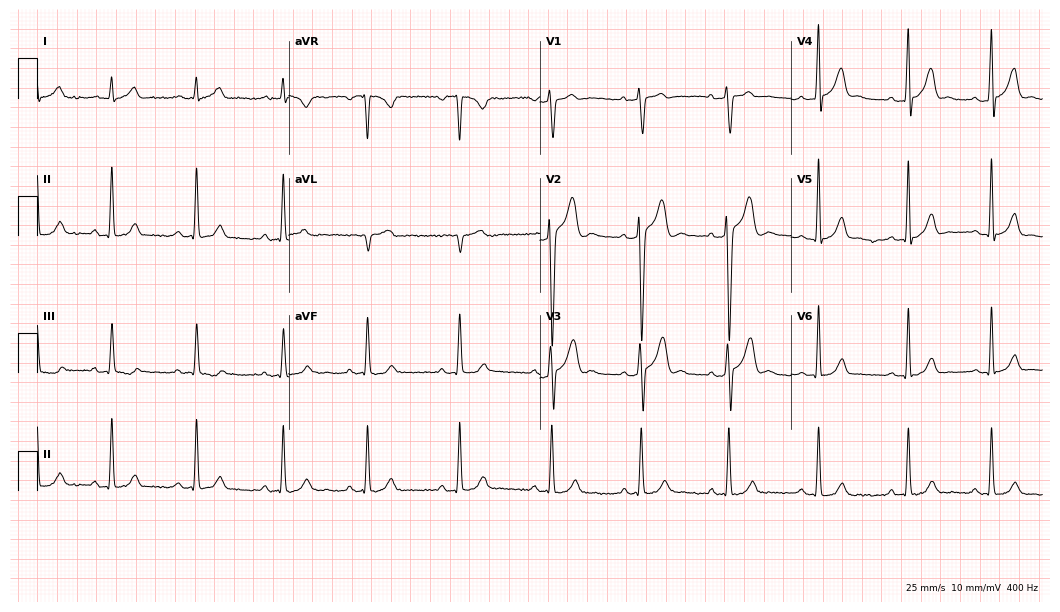
Electrocardiogram (10.2-second recording at 400 Hz), a male, 19 years old. Of the six screened findings (first-degree AV block, right bundle branch block (RBBB), left bundle branch block (LBBB), sinus bradycardia, atrial fibrillation (AF), sinus tachycardia), none is recorded.